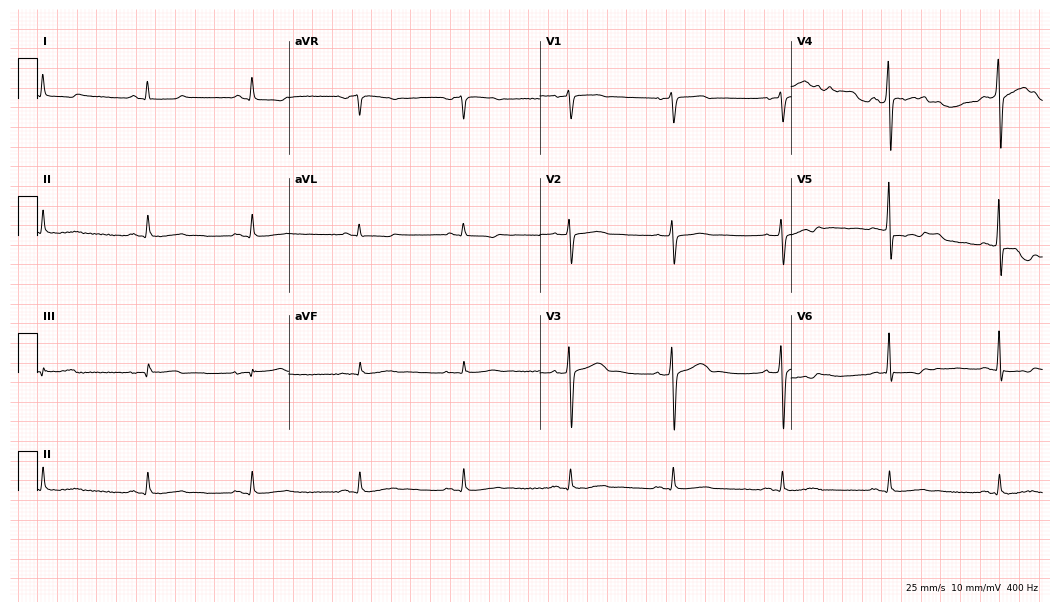
12-lead ECG (10.2-second recording at 400 Hz) from a male patient, 54 years old. Screened for six findings — first-degree AV block, right bundle branch block, left bundle branch block, sinus bradycardia, atrial fibrillation, sinus tachycardia — none is recorded. Findings outside these six are not listed.